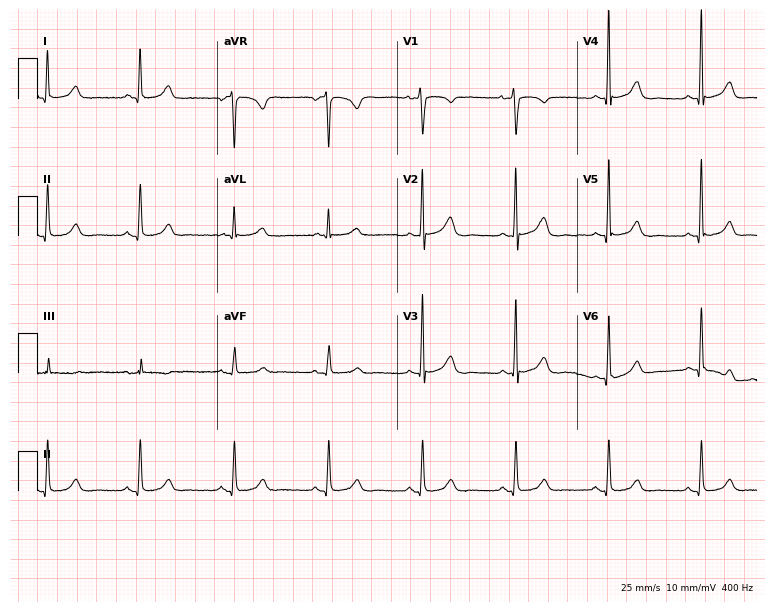
12-lead ECG (7.3-second recording at 400 Hz) from a woman, 69 years old. Labelled as a normal ECG.